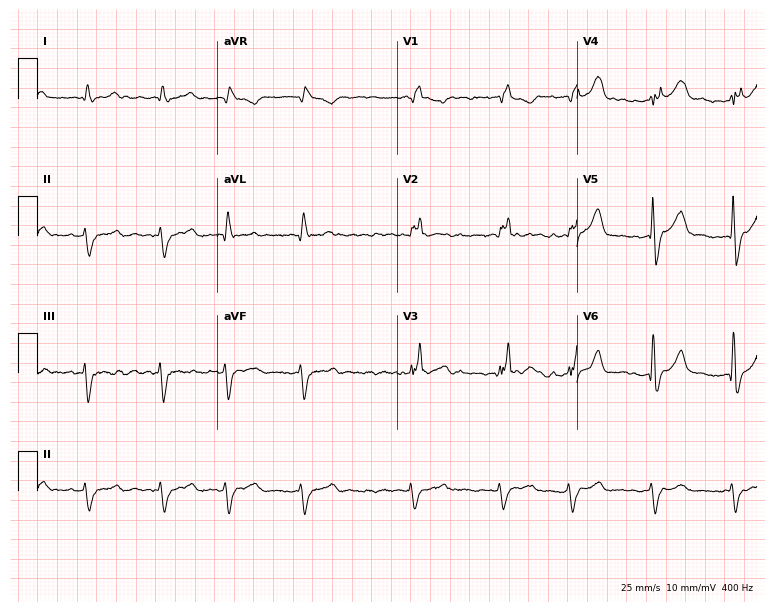
12-lead ECG (7.3-second recording at 400 Hz) from a female patient, 73 years old. Findings include right bundle branch block, atrial fibrillation.